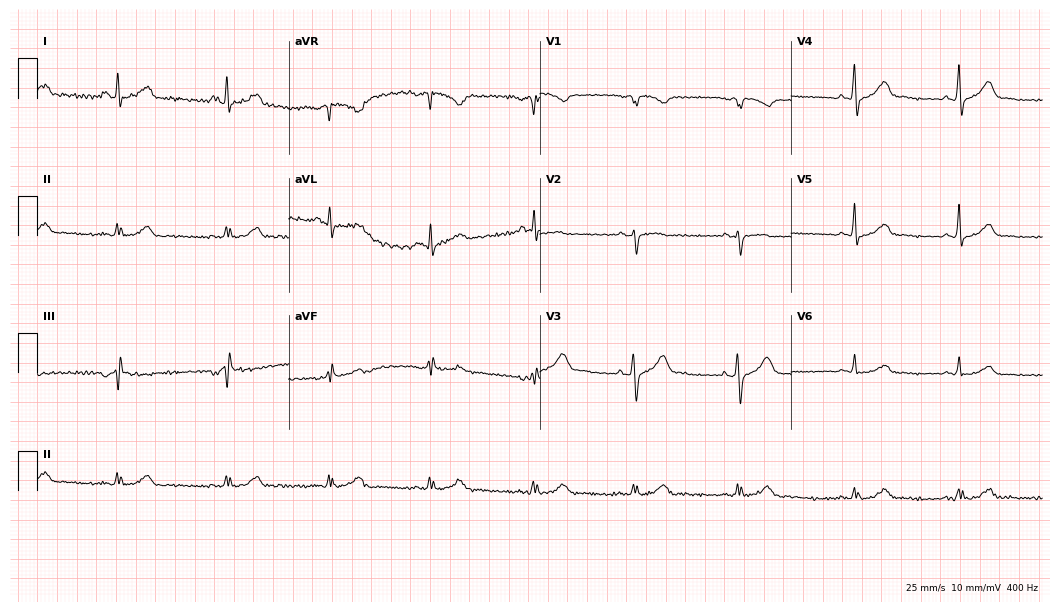
Resting 12-lead electrocardiogram. Patient: a 47-year-old male. Read as a normal ECG.